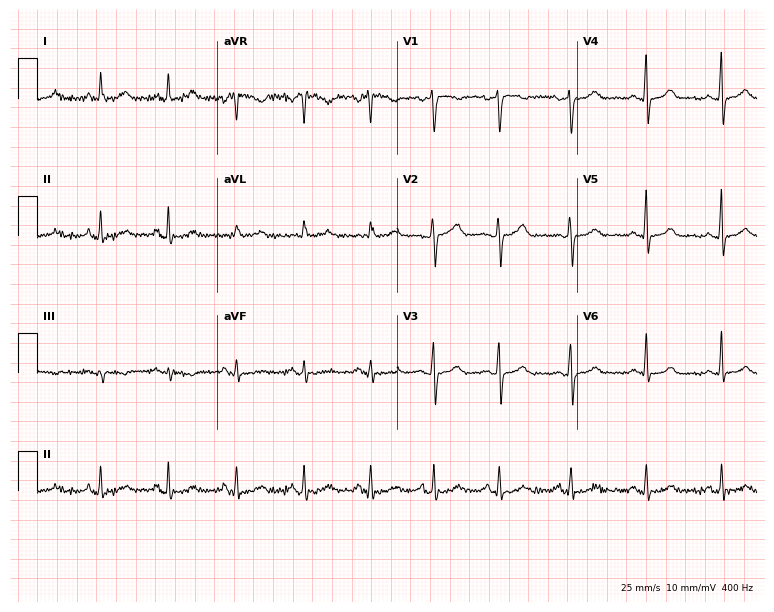
Electrocardiogram (7.3-second recording at 400 Hz), a 42-year-old woman. Overall reading on record: normal ECG.